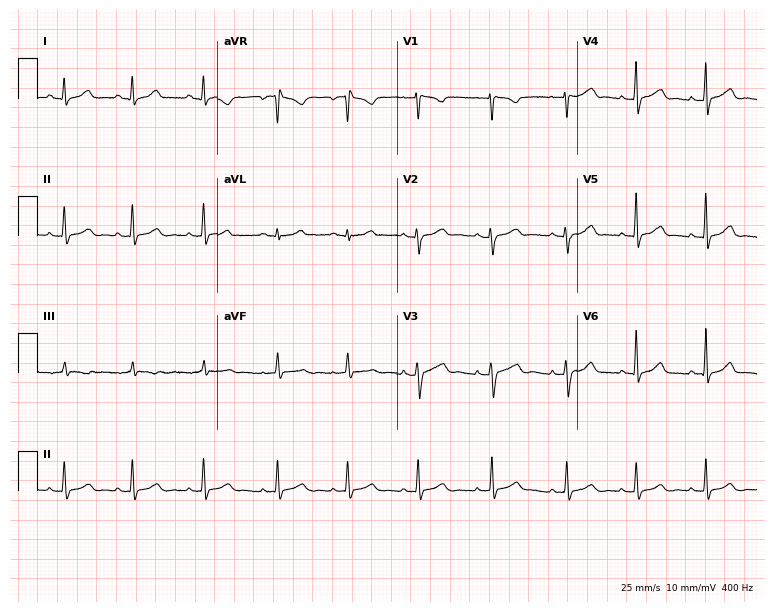
ECG — a woman, 28 years old. Labelled as a normal ECG.